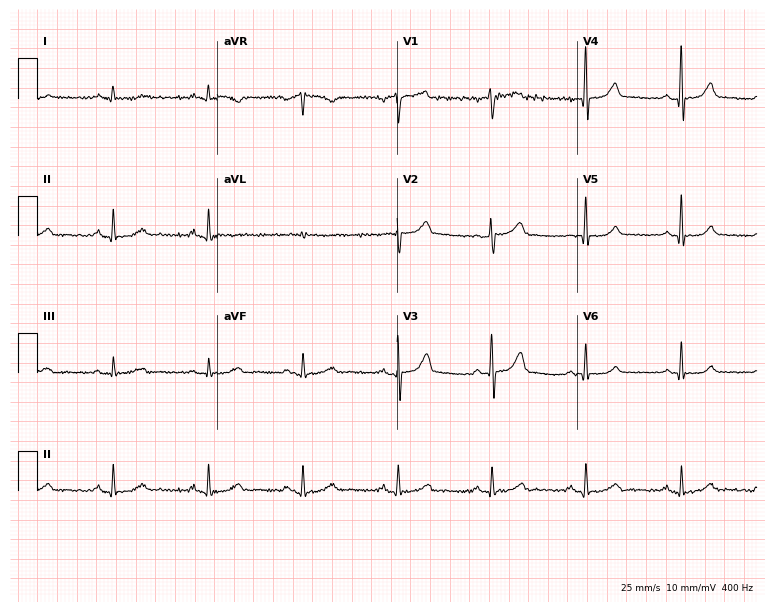
Standard 12-lead ECG recorded from a 47-year-old male. Read as a normal ECG.